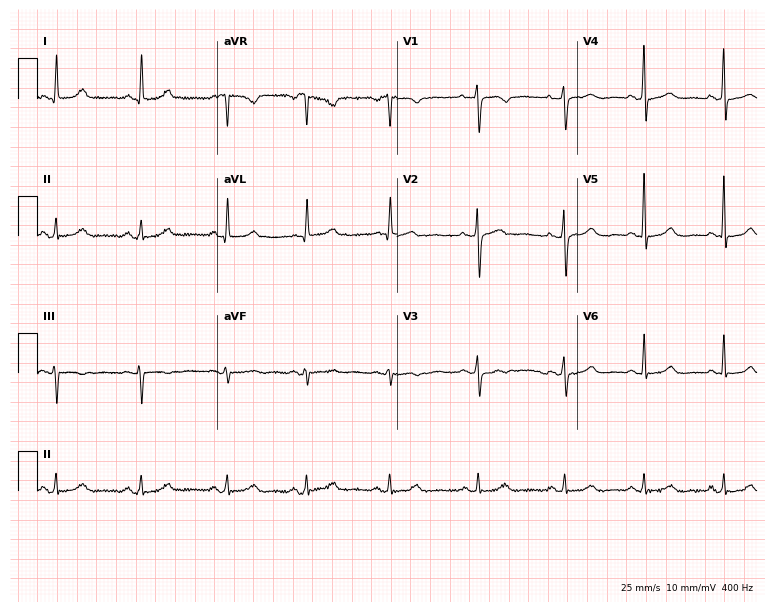
12-lead ECG from a female patient, 41 years old. Recorded interpretation: within normal limits.